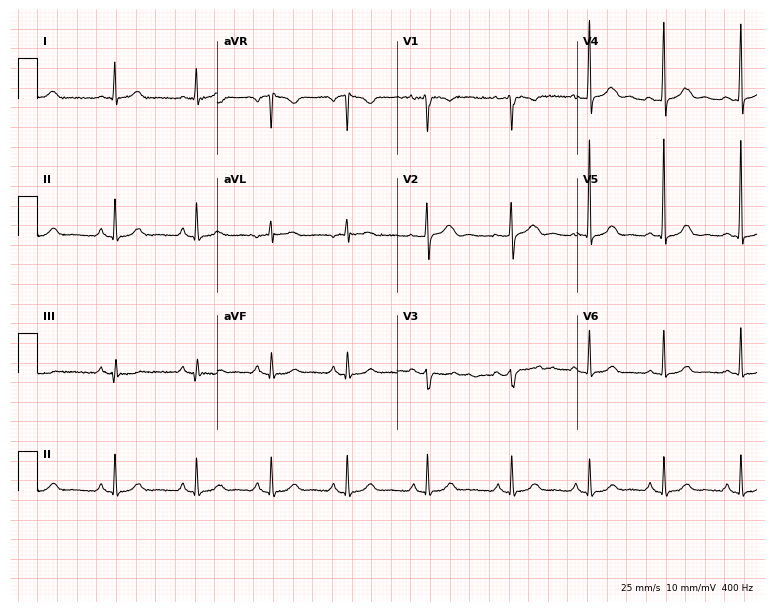
12-lead ECG from a female, 40 years old (7.3-second recording at 400 Hz). No first-degree AV block, right bundle branch block (RBBB), left bundle branch block (LBBB), sinus bradycardia, atrial fibrillation (AF) or sinus tachycardia recorded for this tracing.